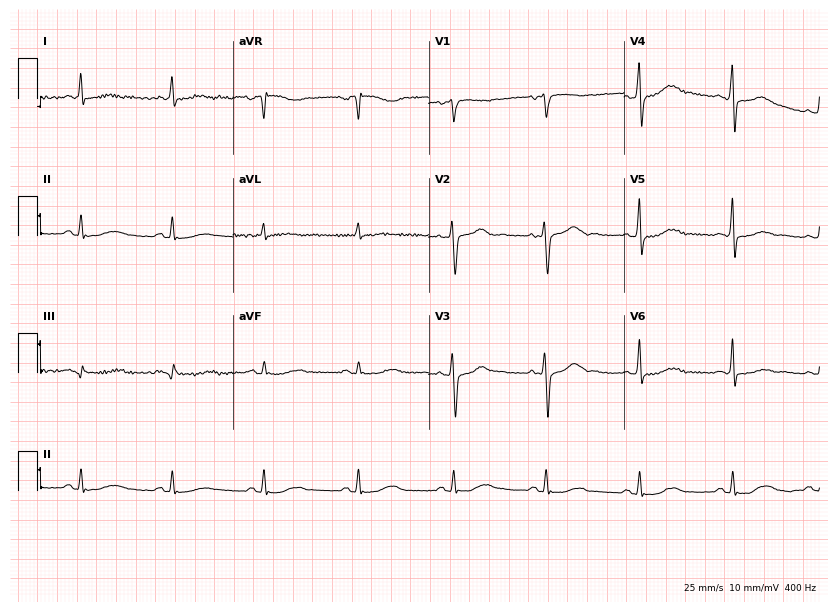
ECG — a 48-year-old female. Screened for six findings — first-degree AV block, right bundle branch block (RBBB), left bundle branch block (LBBB), sinus bradycardia, atrial fibrillation (AF), sinus tachycardia — none is recorded.